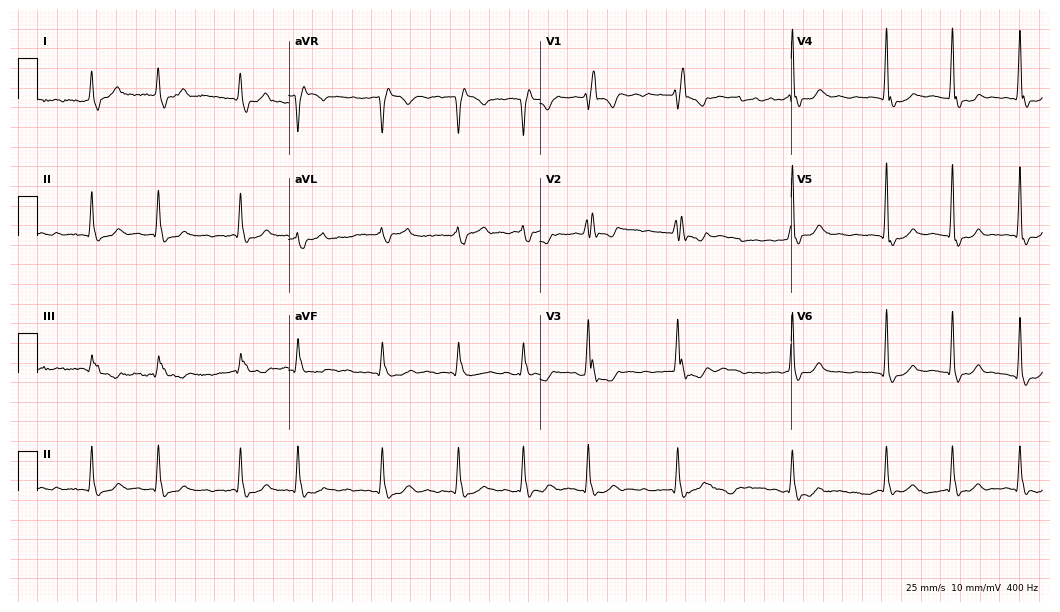
Resting 12-lead electrocardiogram. Patient: an 84-year-old female. The tracing shows right bundle branch block (RBBB), atrial fibrillation (AF).